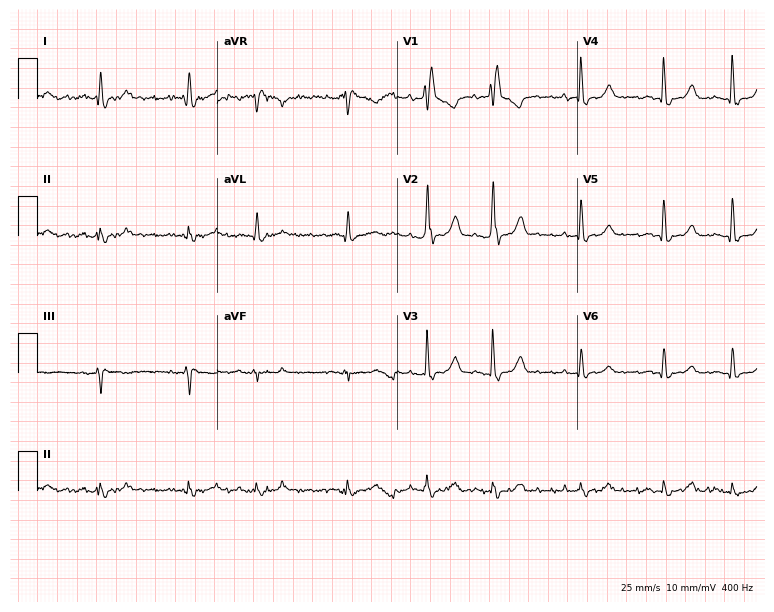
12-lead ECG from a 69-year-old man. Findings include right bundle branch block.